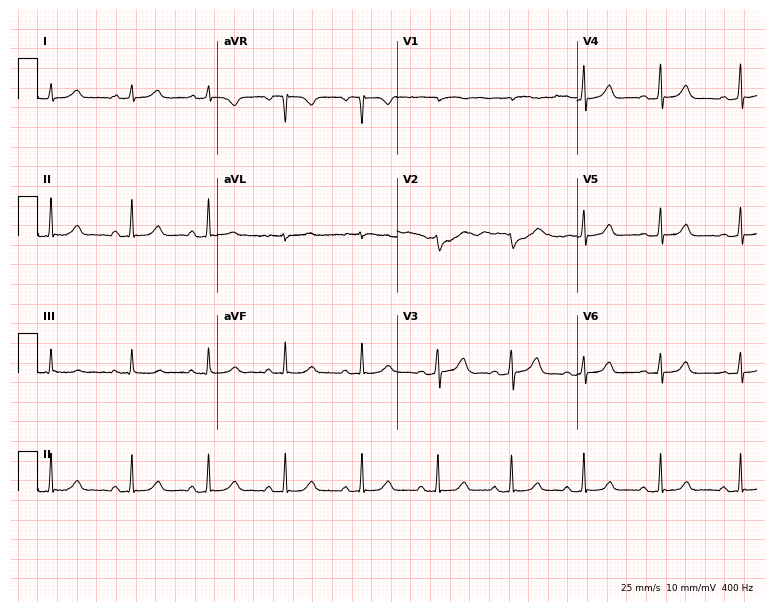
Resting 12-lead electrocardiogram (7.3-second recording at 400 Hz). Patient: a female, 20 years old. Read as a normal ECG.